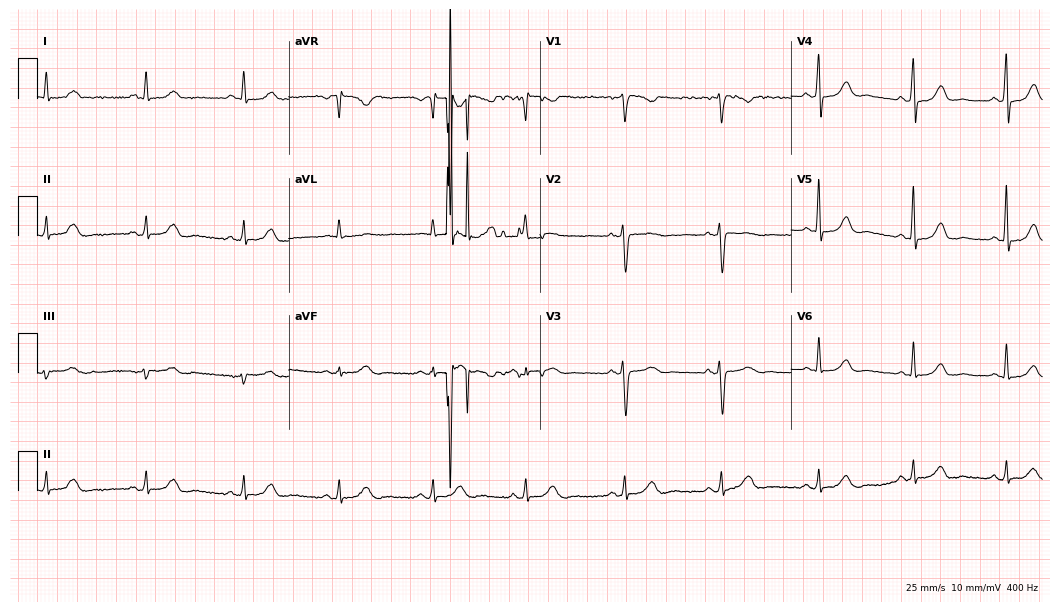
ECG (10.2-second recording at 400 Hz) — a 49-year-old female. Labelled as a normal ECG.